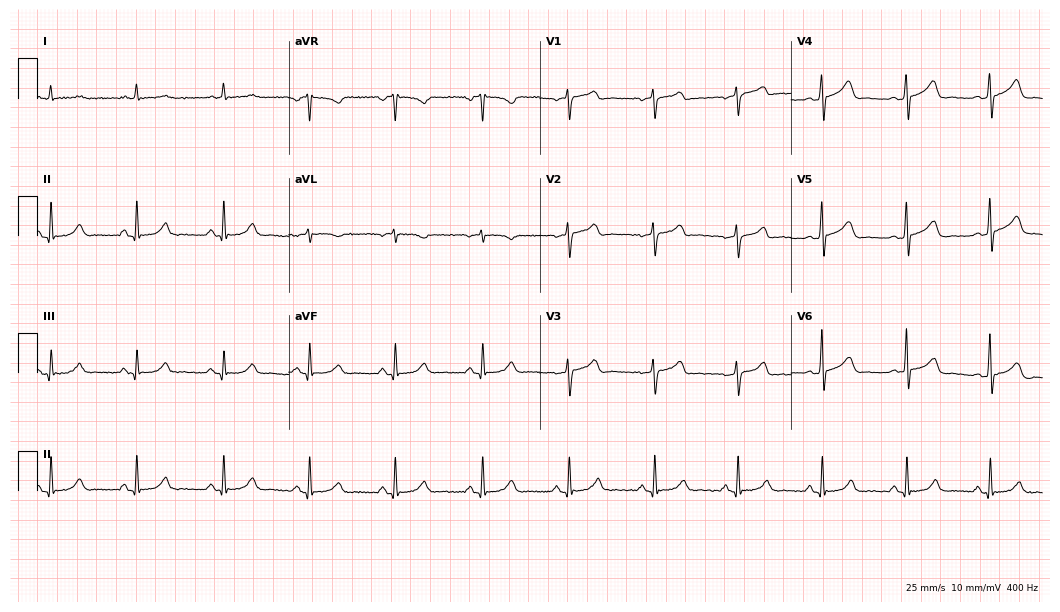
12-lead ECG from a 66-year-old man. Recorded interpretation: within normal limits.